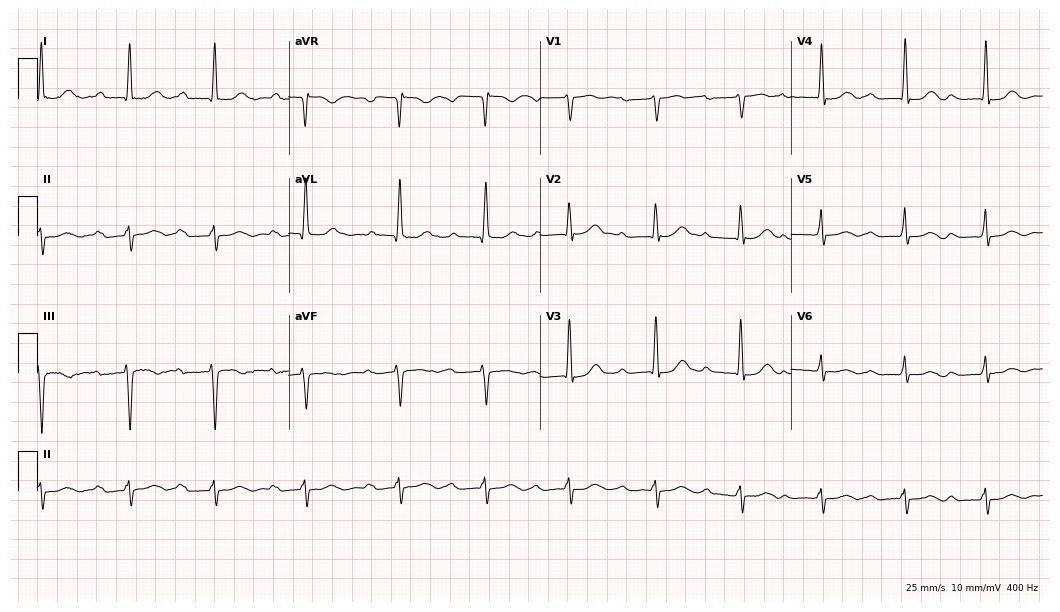
Standard 12-lead ECG recorded from a 73-year-old woman. The tracing shows first-degree AV block.